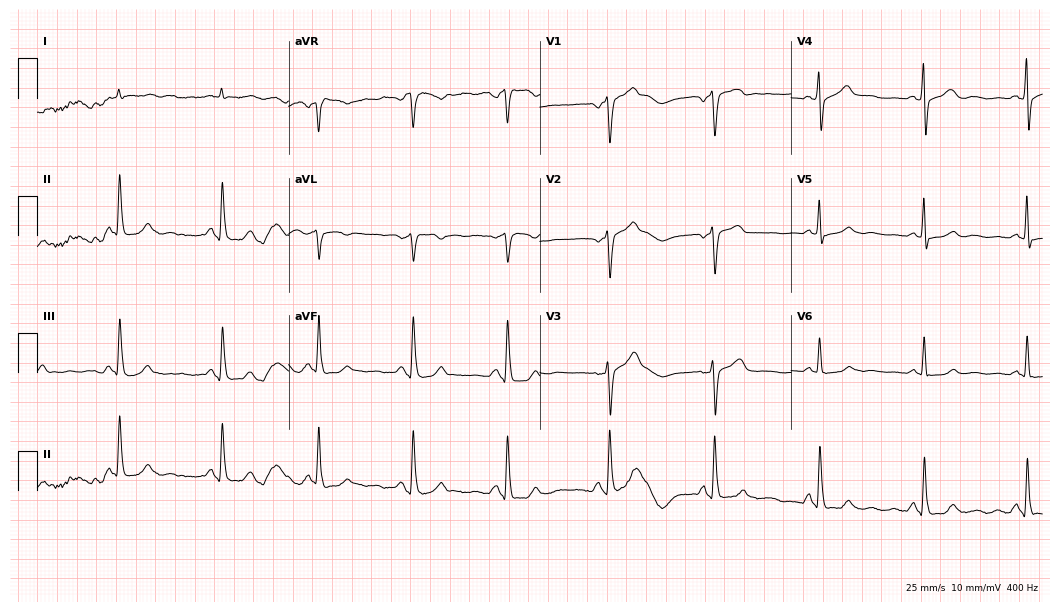
Standard 12-lead ECG recorded from a 55-year-old male (10.2-second recording at 400 Hz). None of these six findings is recorded: first-degree AV block, right bundle branch block, left bundle branch block, sinus bradycardia, atrial fibrillation, sinus tachycardia. Findings outside these six are not listed.